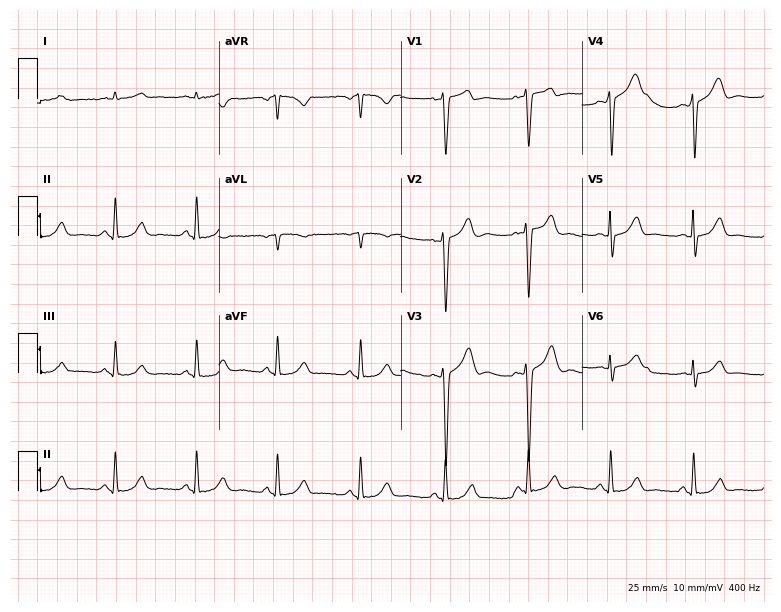
Standard 12-lead ECG recorded from a man, 49 years old (7.4-second recording at 400 Hz). None of these six findings is recorded: first-degree AV block, right bundle branch block, left bundle branch block, sinus bradycardia, atrial fibrillation, sinus tachycardia.